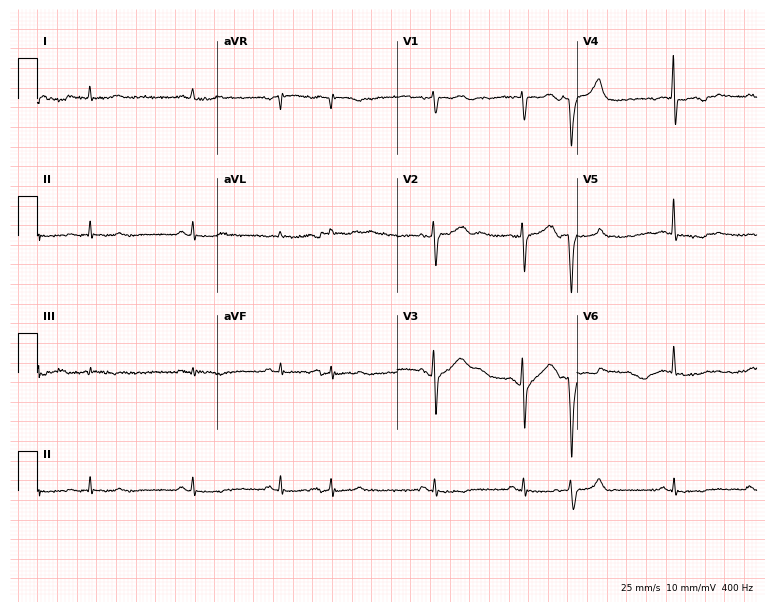
12-lead ECG (7.3-second recording at 400 Hz) from a man, 75 years old. Screened for six findings — first-degree AV block, right bundle branch block, left bundle branch block, sinus bradycardia, atrial fibrillation, sinus tachycardia — none is recorded.